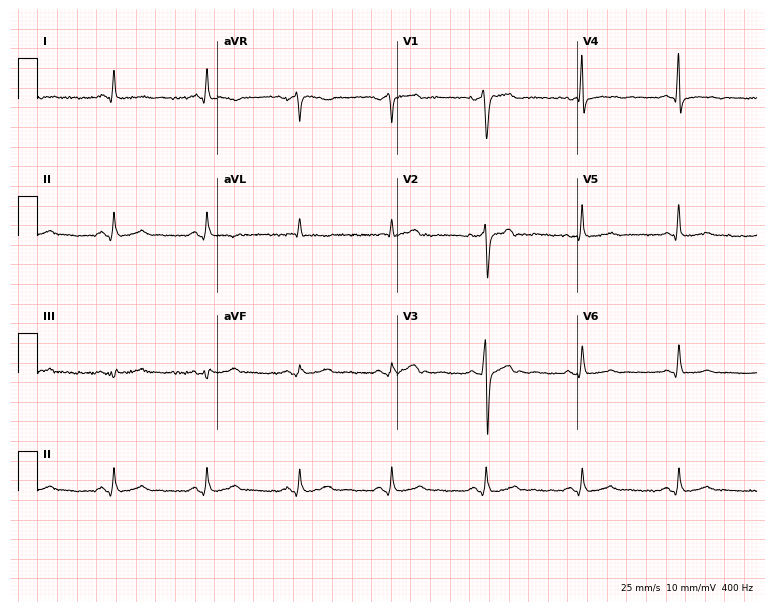
12-lead ECG (7.3-second recording at 400 Hz) from a 53-year-old man. Screened for six findings — first-degree AV block, right bundle branch block, left bundle branch block, sinus bradycardia, atrial fibrillation, sinus tachycardia — none is recorded.